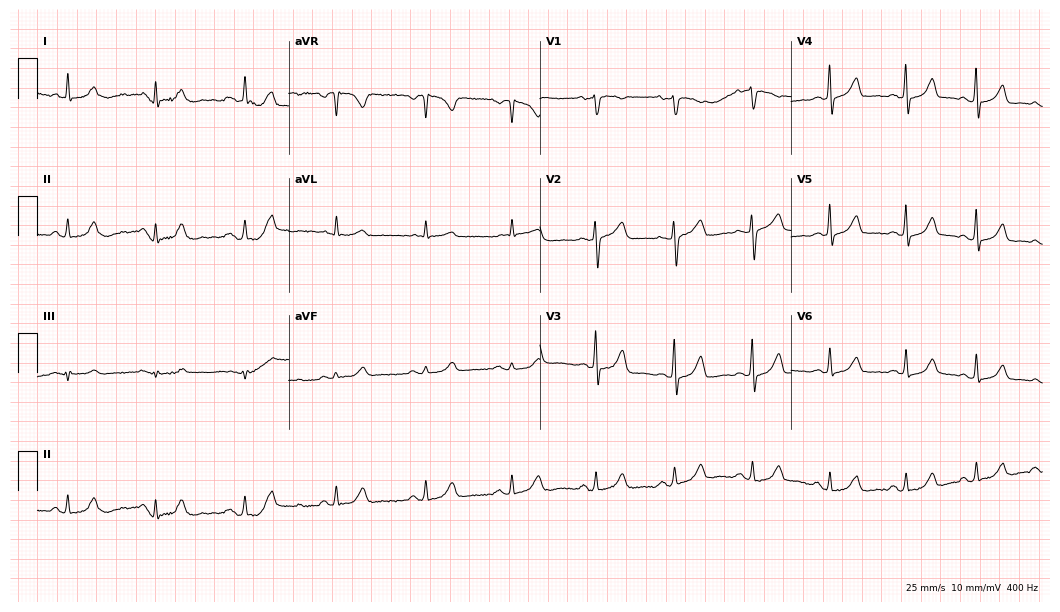
12-lead ECG (10.2-second recording at 400 Hz) from a female, 61 years old. Labelled as a normal ECG.